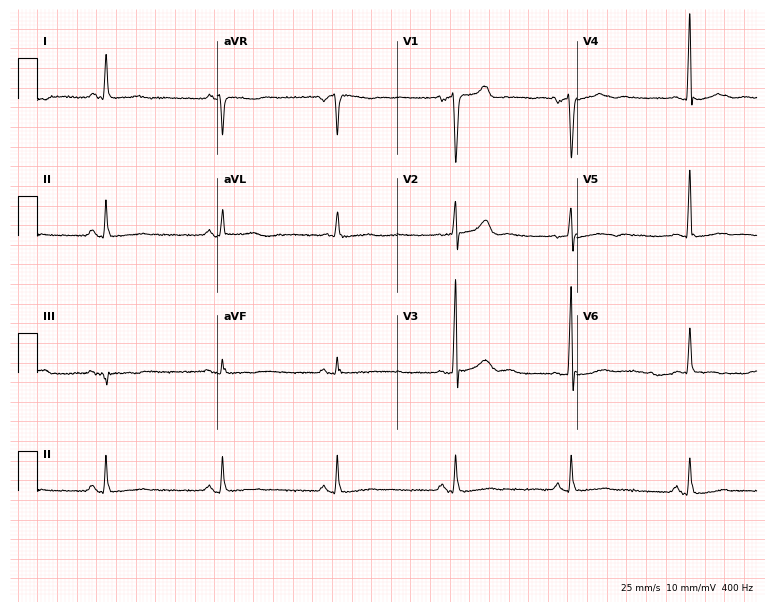
Resting 12-lead electrocardiogram (7.3-second recording at 400 Hz). Patient: a 73-year-old male. The tracing shows sinus bradycardia (a sinus rate of 50 beats per minute or less).